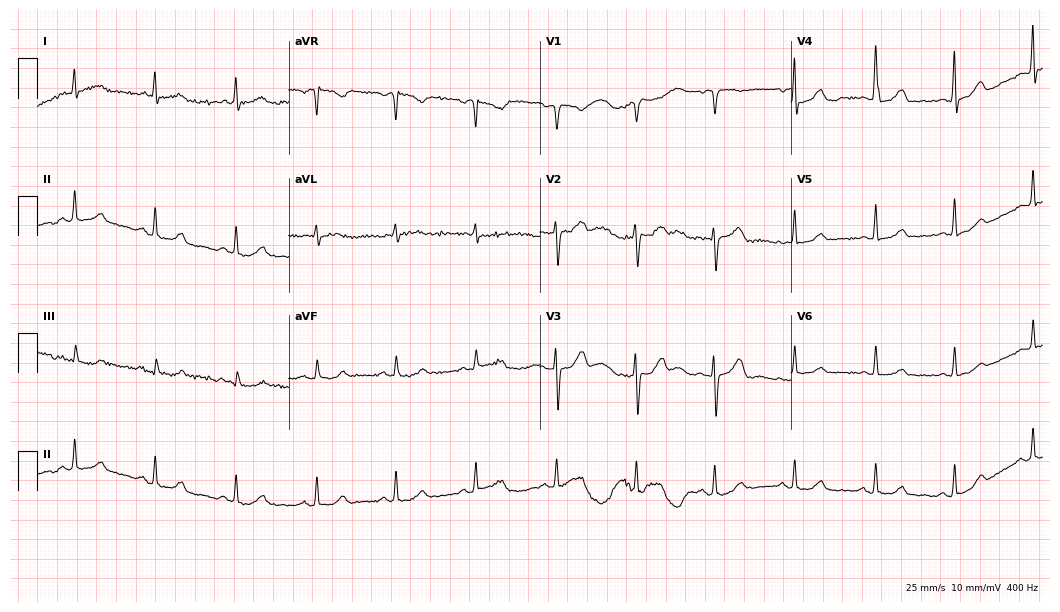
Electrocardiogram (10.2-second recording at 400 Hz), a female patient, 67 years old. Overall reading on record: normal ECG.